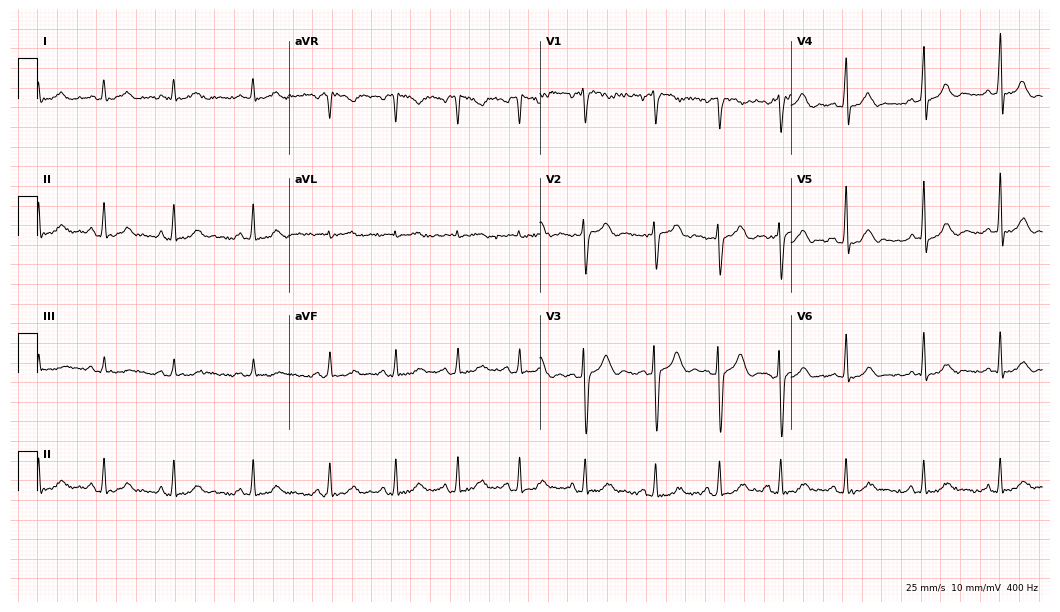
12-lead ECG from a woman, 31 years old (10.2-second recording at 400 Hz). Recorded interpretation: within normal limits.